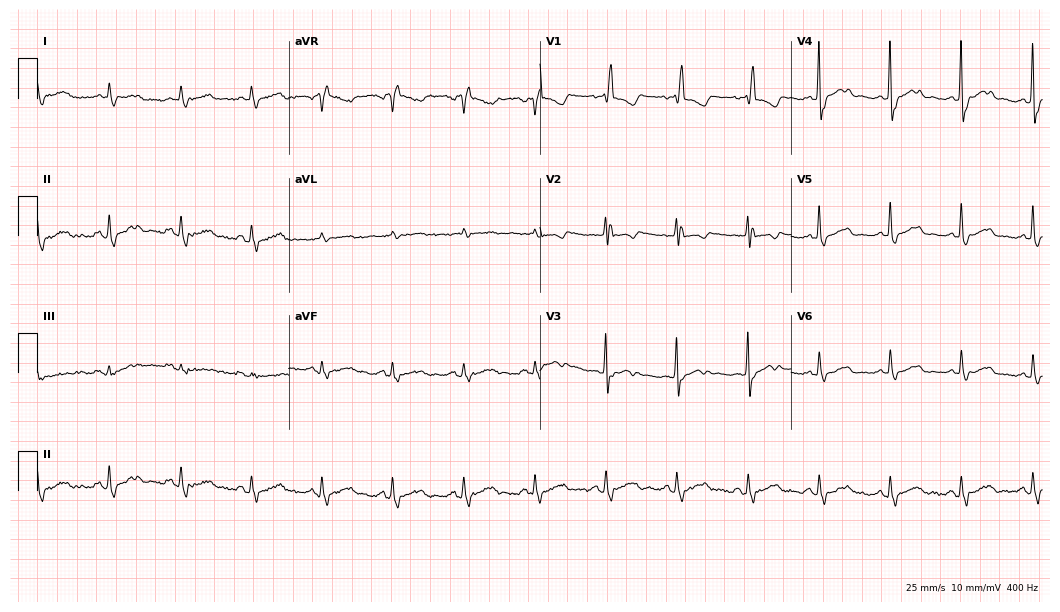
ECG (10.2-second recording at 400 Hz) — a female, 81 years old. Screened for six findings — first-degree AV block, right bundle branch block, left bundle branch block, sinus bradycardia, atrial fibrillation, sinus tachycardia — none is recorded. Other findings, if any, are not listed.